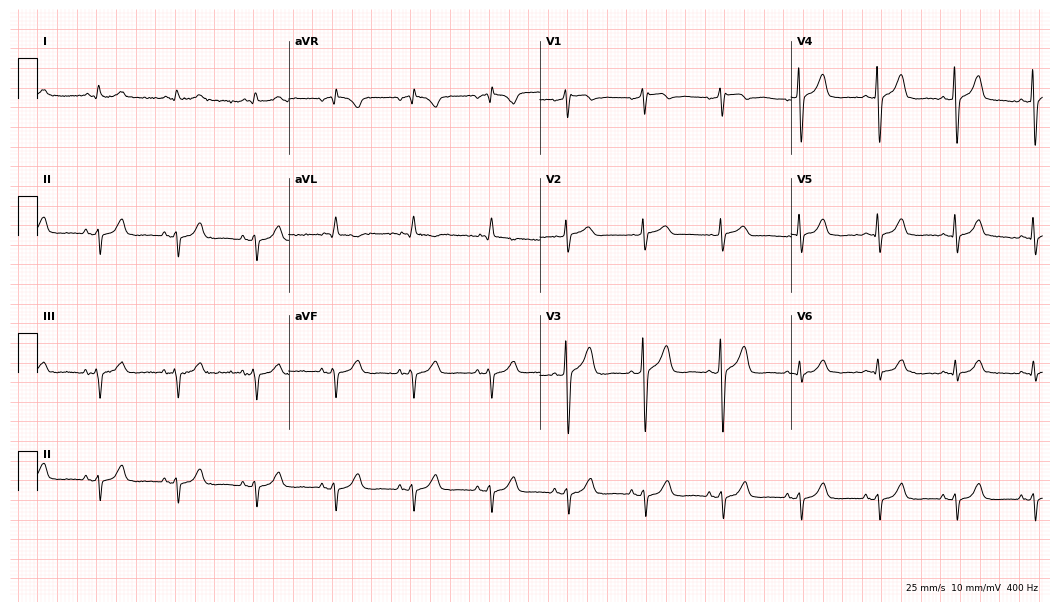
12-lead ECG from a man, 75 years old (10.2-second recording at 400 Hz). No first-degree AV block, right bundle branch block (RBBB), left bundle branch block (LBBB), sinus bradycardia, atrial fibrillation (AF) or sinus tachycardia recorded for this tracing. Only these six findings were labelled.